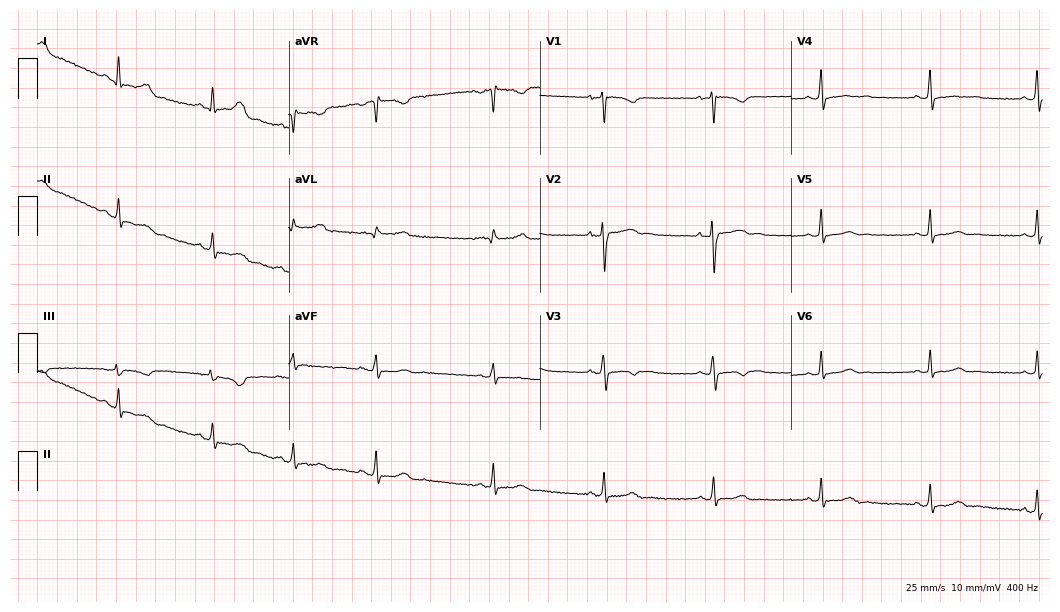
Standard 12-lead ECG recorded from a female patient, 28 years old. None of these six findings is recorded: first-degree AV block, right bundle branch block, left bundle branch block, sinus bradycardia, atrial fibrillation, sinus tachycardia. Only these six findings were labelled.